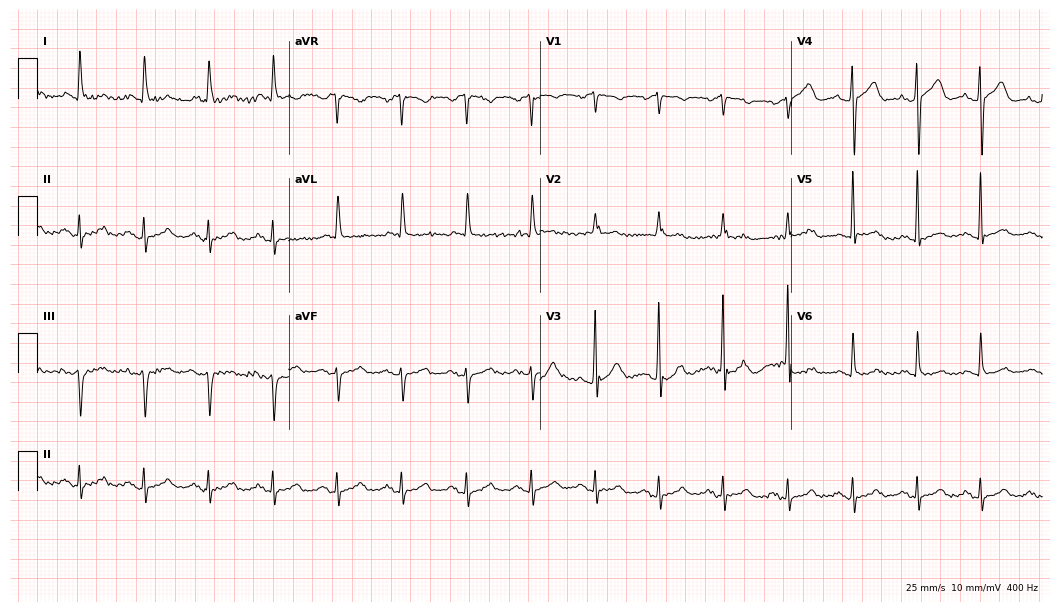
Electrocardiogram, a female, 77 years old. Of the six screened findings (first-degree AV block, right bundle branch block, left bundle branch block, sinus bradycardia, atrial fibrillation, sinus tachycardia), none is recorded.